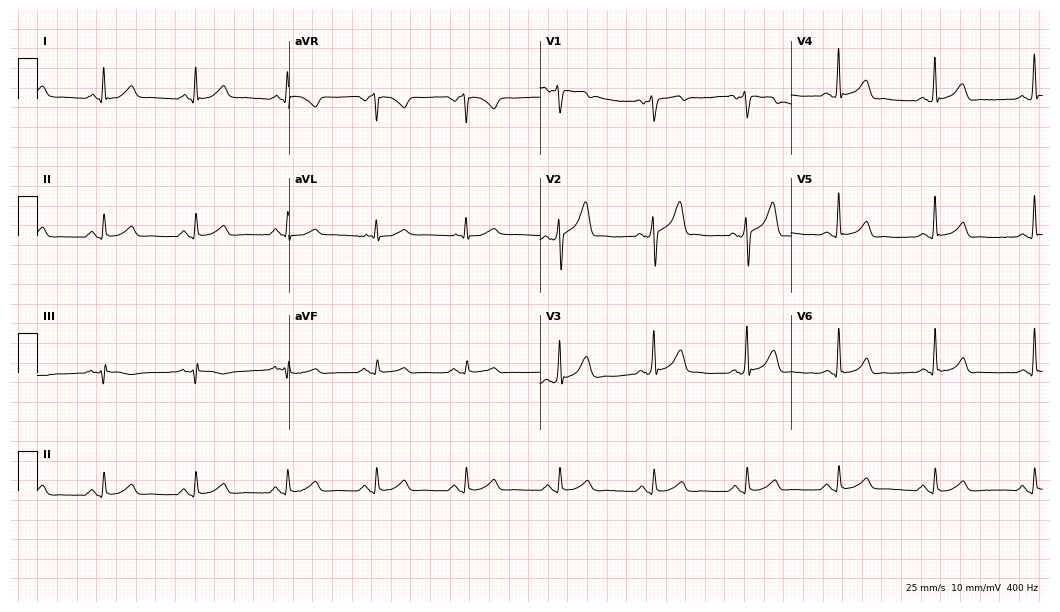
Electrocardiogram, a 51-year-old male. Overall reading on record: normal ECG.